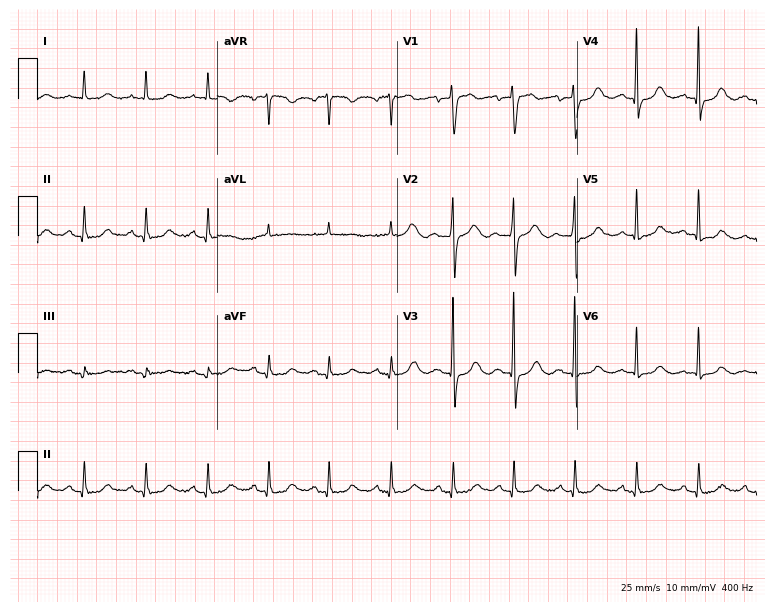
12-lead ECG (7.3-second recording at 400 Hz) from a 76-year-old female patient. Screened for six findings — first-degree AV block, right bundle branch block (RBBB), left bundle branch block (LBBB), sinus bradycardia, atrial fibrillation (AF), sinus tachycardia — none is recorded.